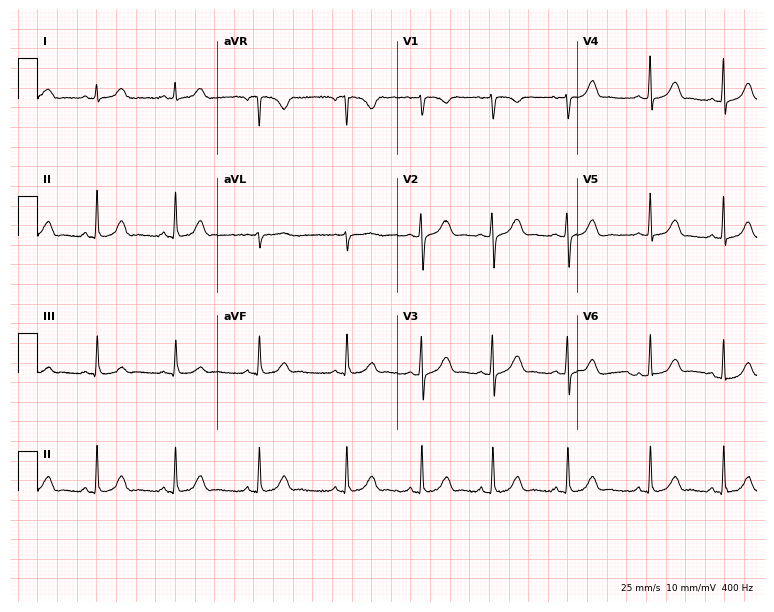
Resting 12-lead electrocardiogram (7.3-second recording at 400 Hz). Patient: a female, 21 years old. Read as a normal ECG.